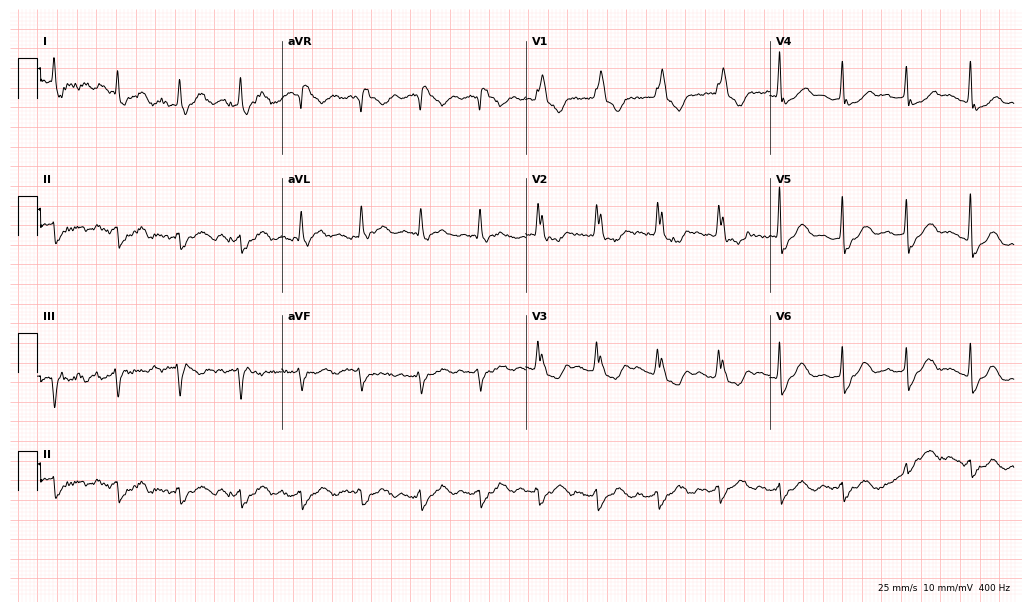
Resting 12-lead electrocardiogram. Patient: a male, 84 years old. None of these six findings is recorded: first-degree AV block, right bundle branch block (RBBB), left bundle branch block (LBBB), sinus bradycardia, atrial fibrillation (AF), sinus tachycardia.